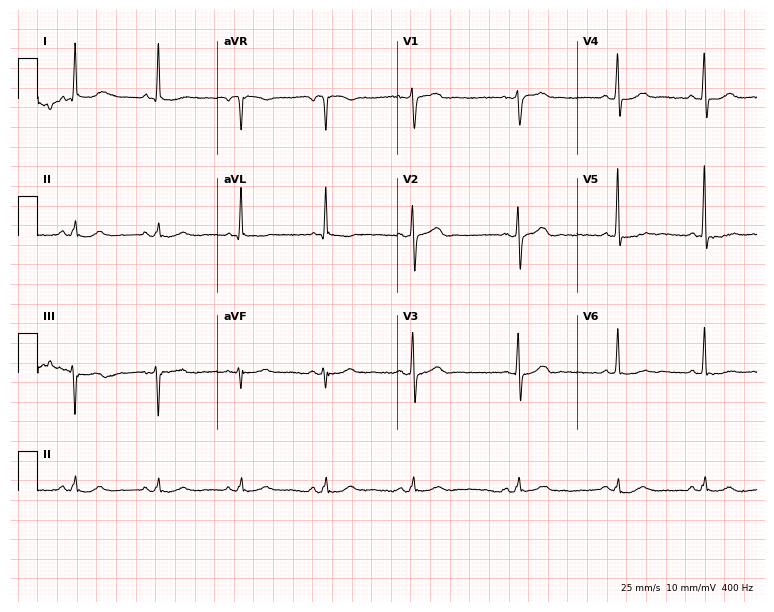
ECG — a 69-year-old man. Screened for six findings — first-degree AV block, right bundle branch block (RBBB), left bundle branch block (LBBB), sinus bradycardia, atrial fibrillation (AF), sinus tachycardia — none is recorded.